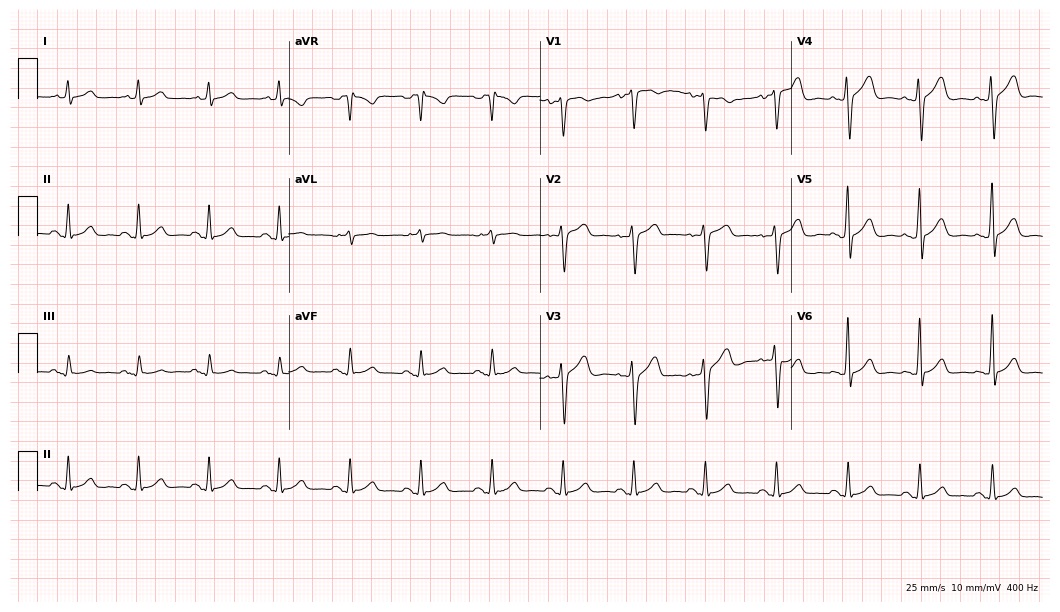
12-lead ECG (10.2-second recording at 400 Hz) from a 34-year-old male. Labelled as a normal ECG.